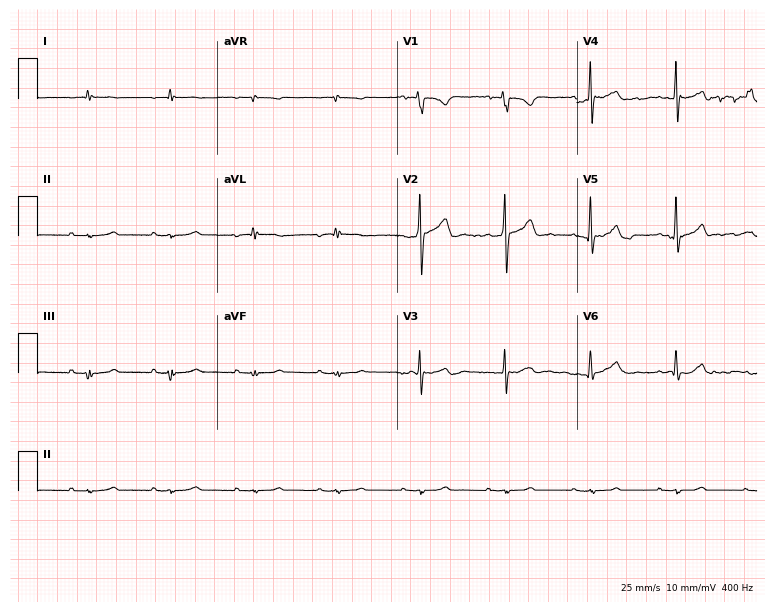
12-lead ECG from a man, 60 years old. No first-degree AV block, right bundle branch block (RBBB), left bundle branch block (LBBB), sinus bradycardia, atrial fibrillation (AF) or sinus tachycardia recorded for this tracing.